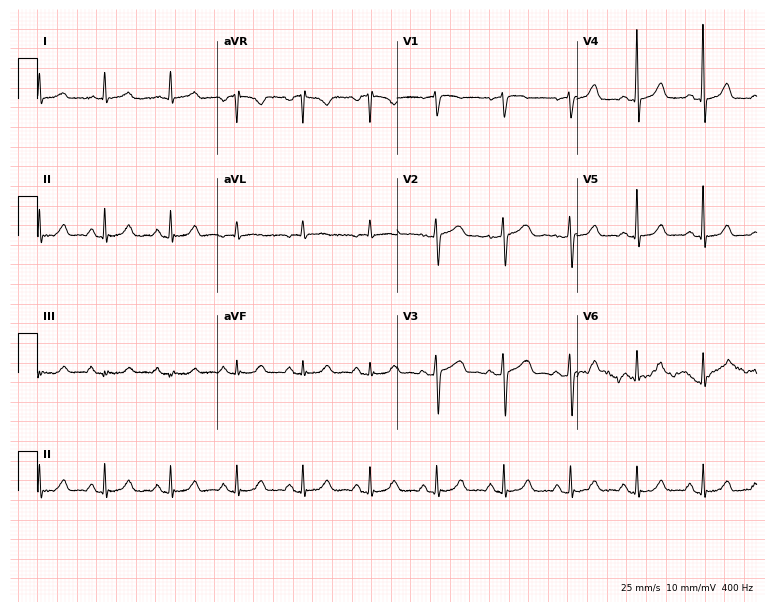
Standard 12-lead ECG recorded from a female patient, 76 years old. Read as a normal ECG.